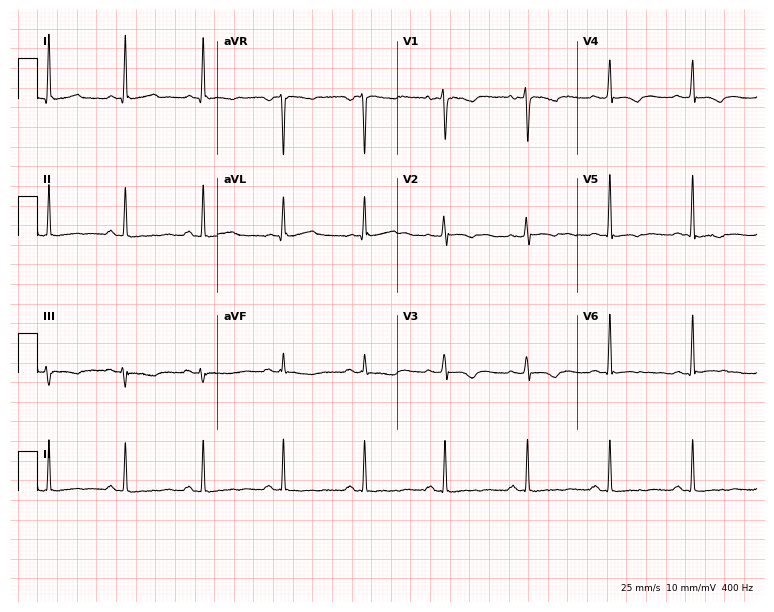
Resting 12-lead electrocardiogram (7.3-second recording at 400 Hz). Patient: a female, 35 years old. Read as a normal ECG.